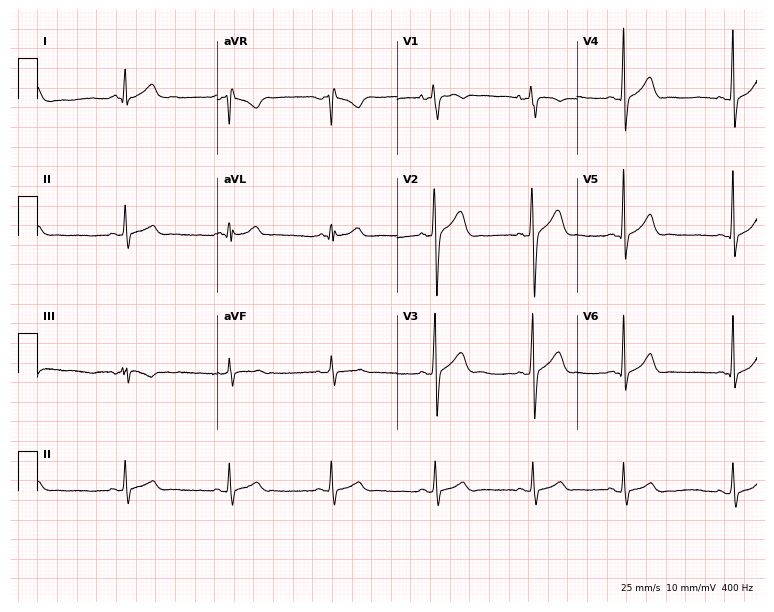
Electrocardiogram (7.3-second recording at 400 Hz), a man, 23 years old. Overall reading on record: normal ECG.